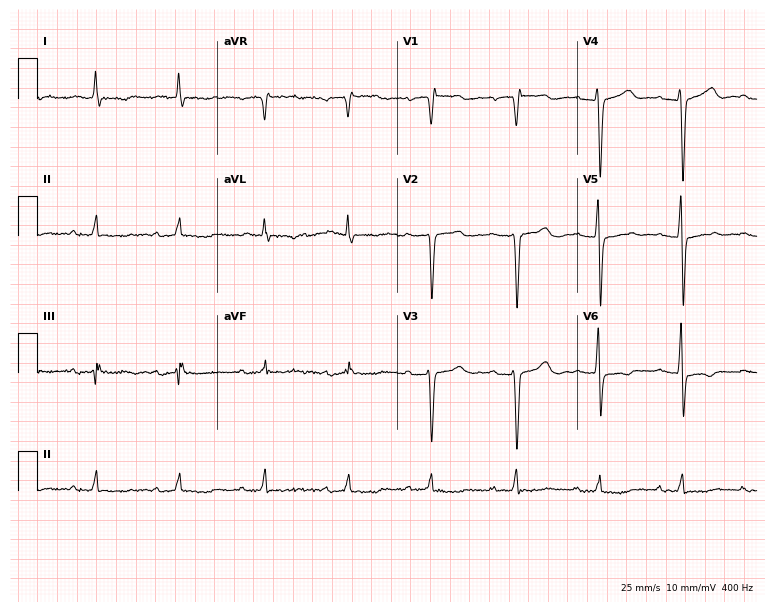
Electrocardiogram, an 84-year-old female. Of the six screened findings (first-degree AV block, right bundle branch block (RBBB), left bundle branch block (LBBB), sinus bradycardia, atrial fibrillation (AF), sinus tachycardia), none is recorded.